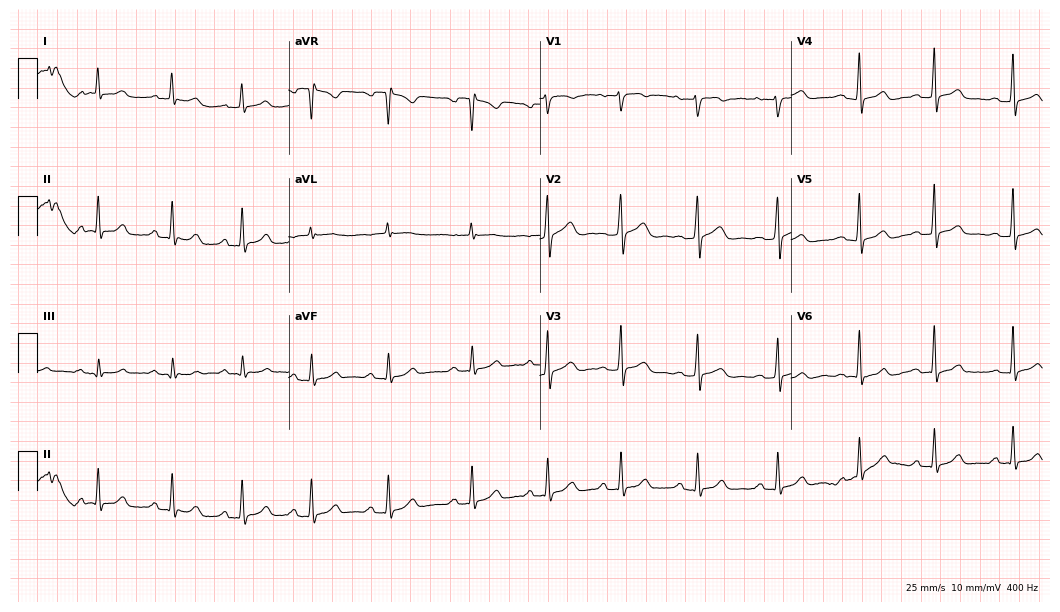
Resting 12-lead electrocardiogram. Patient: a woman, 31 years old. Read as a normal ECG.